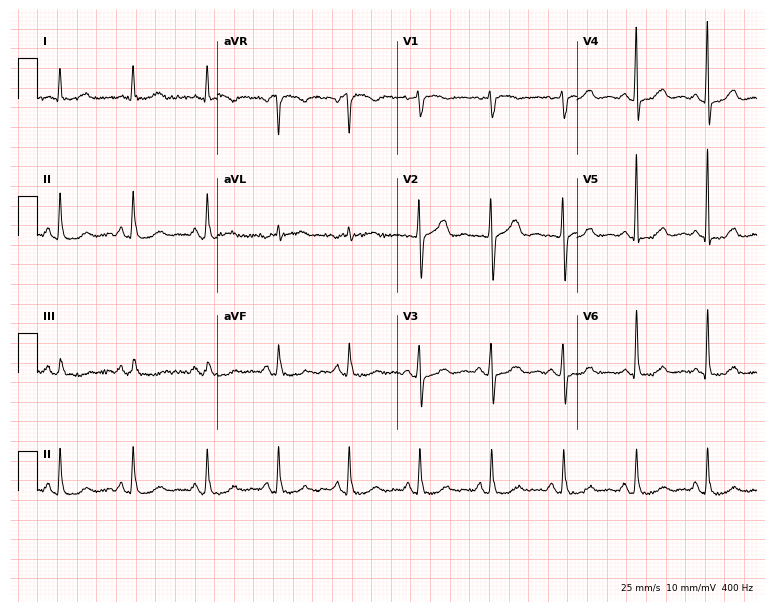
Resting 12-lead electrocardiogram (7.3-second recording at 400 Hz). Patient: a 46-year-old female. Read as a normal ECG.